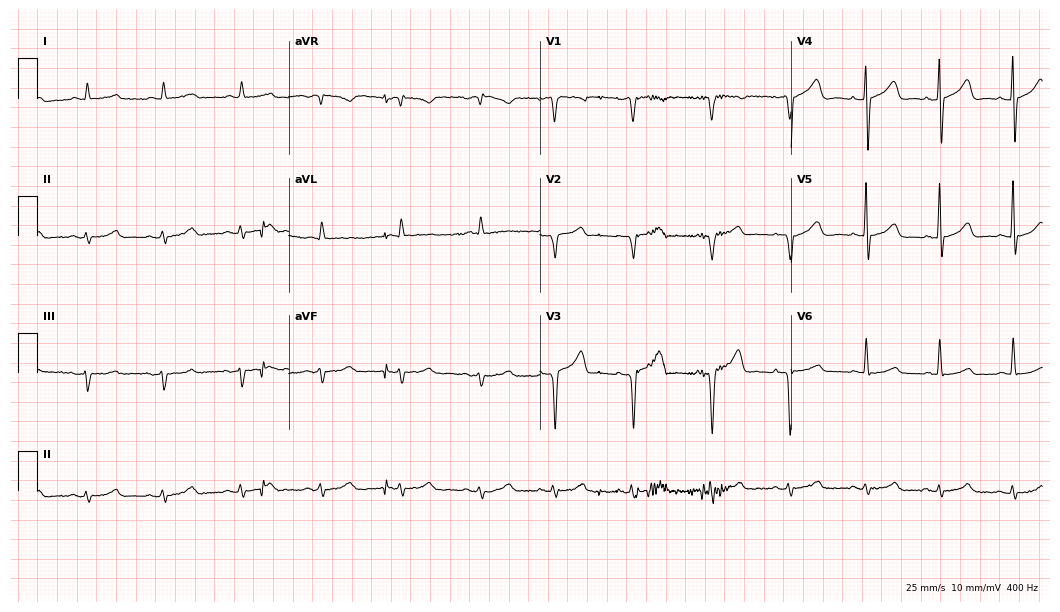
Resting 12-lead electrocardiogram. Patient: a male, 80 years old. None of these six findings is recorded: first-degree AV block, right bundle branch block, left bundle branch block, sinus bradycardia, atrial fibrillation, sinus tachycardia.